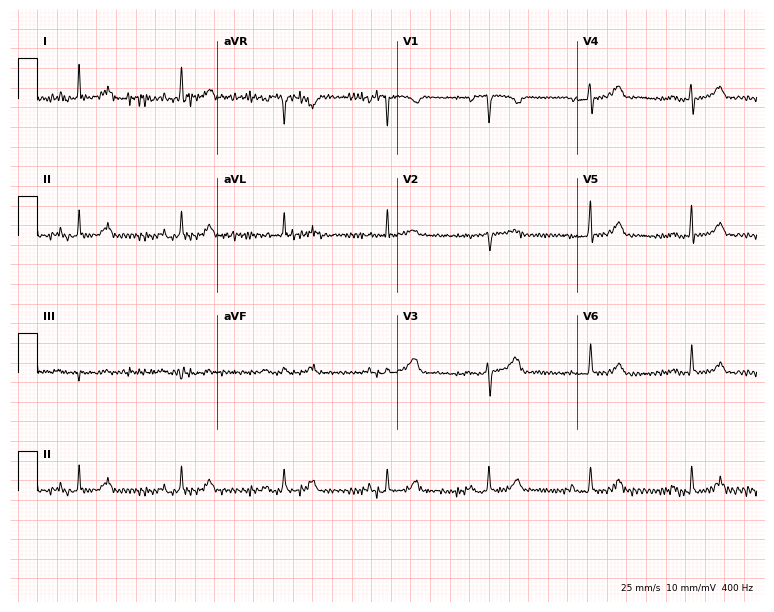
Electrocardiogram, a female, 72 years old. Overall reading on record: normal ECG.